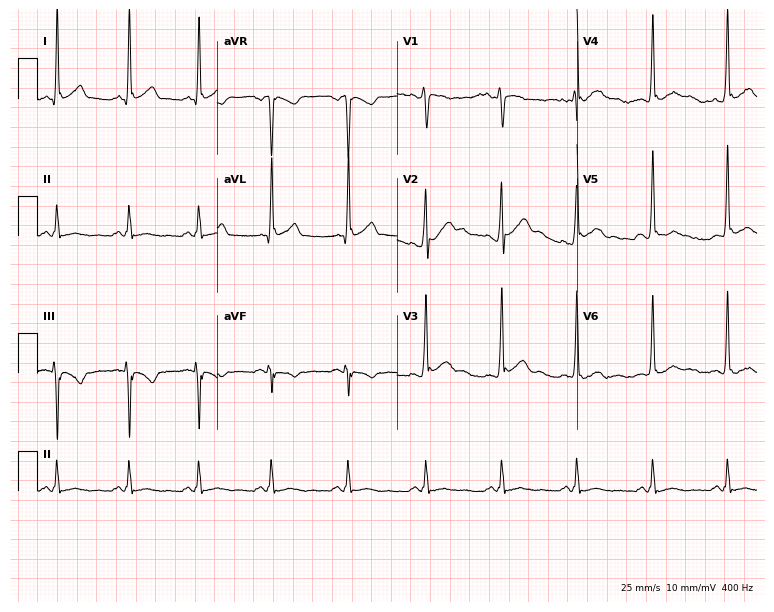
12-lead ECG from a male patient, 33 years old. Screened for six findings — first-degree AV block, right bundle branch block, left bundle branch block, sinus bradycardia, atrial fibrillation, sinus tachycardia — none is recorded. Other findings, if any, are not listed.